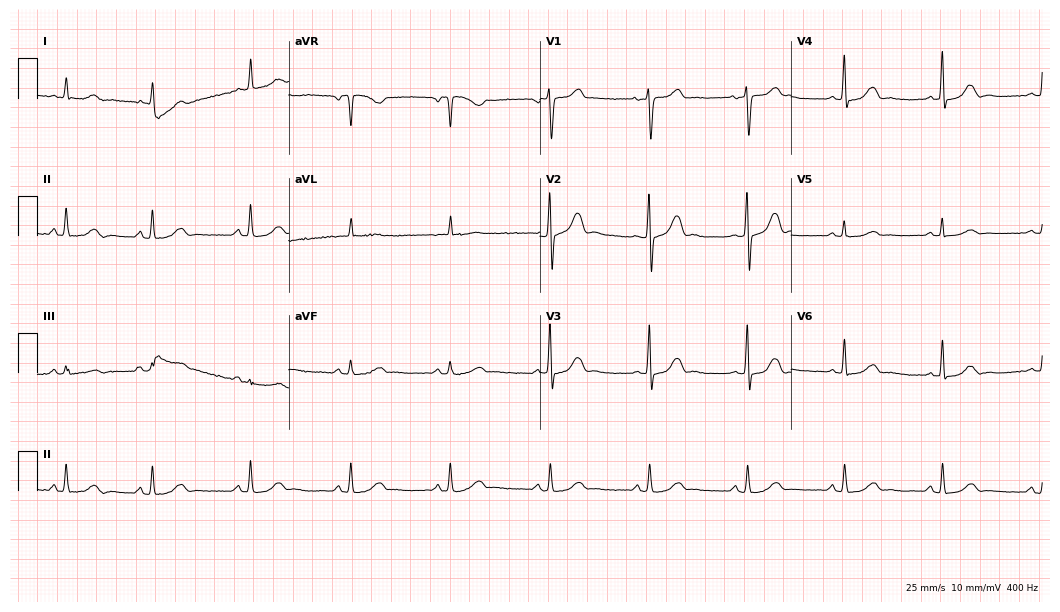
12-lead ECG from a female patient, 69 years old. No first-degree AV block, right bundle branch block, left bundle branch block, sinus bradycardia, atrial fibrillation or sinus tachycardia recorded for this tracing.